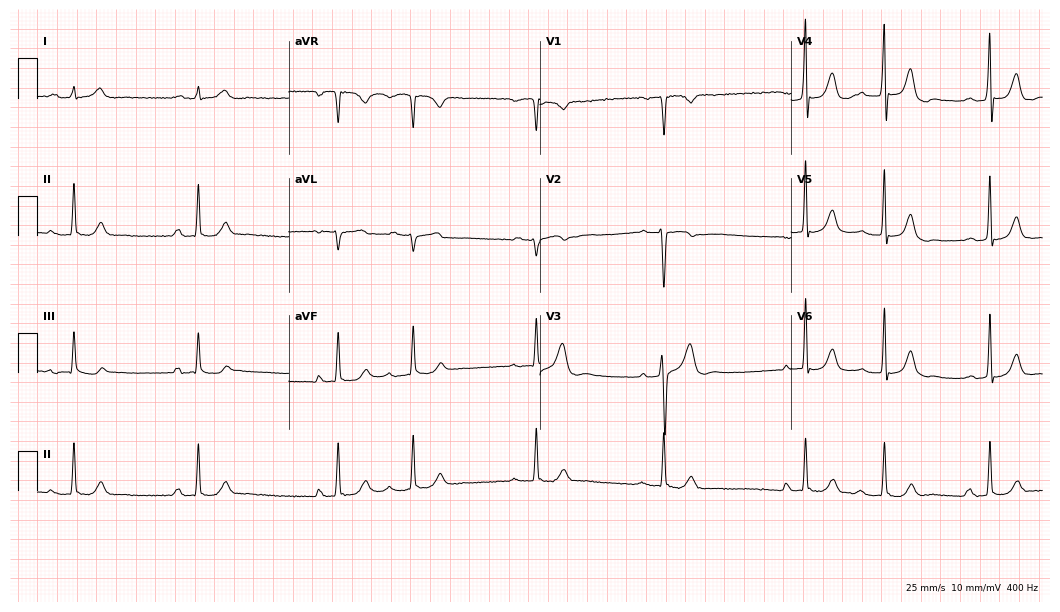
ECG (10.2-second recording at 400 Hz) — a 55-year-old male patient. Labelled as a normal ECG.